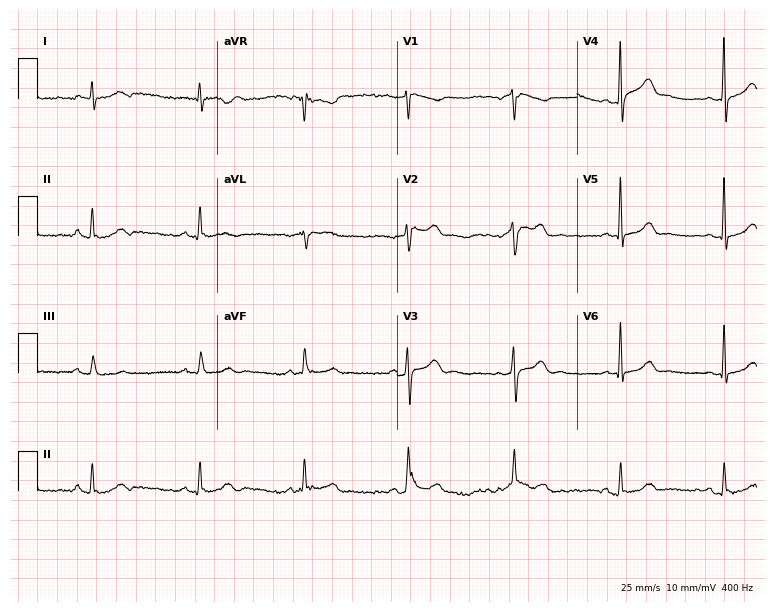
12-lead ECG (7.3-second recording at 400 Hz) from a 45-year-old man. Labelled as a normal ECG.